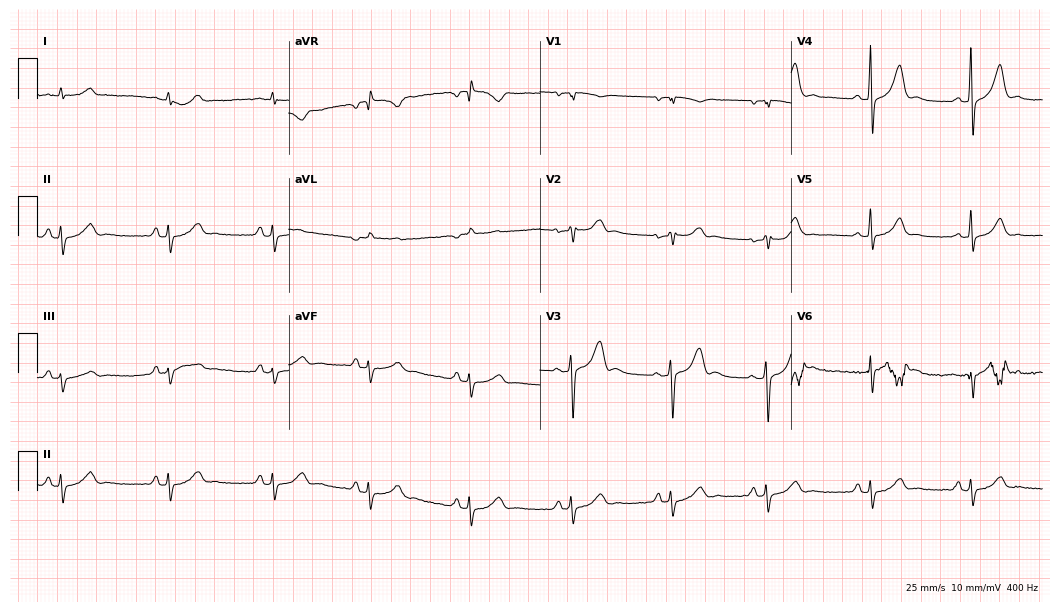
12-lead ECG from a man, 53 years old. Screened for six findings — first-degree AV block, right bundle branch block, left bundle branch block, sinus bradycardia, atrial fibrillation, sinus tachycardia — none is recorded. Only these six findings were labelled.